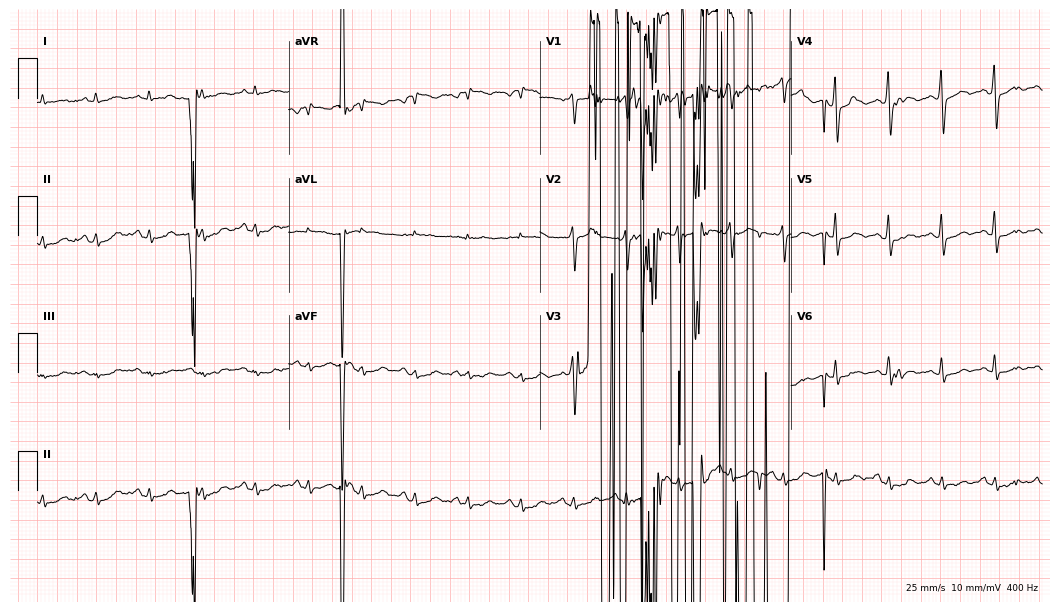
Electrocardiogram (10.2-second recording at 400 Hz), a 59-year-old male. Of the six screened findings (first-degree AV block, right bundle branch block (RBBB), left bundle branch block (LBBB), sinus bradycardia, atrial fibrillation (AF), sinus tachycardia), none is recorded.